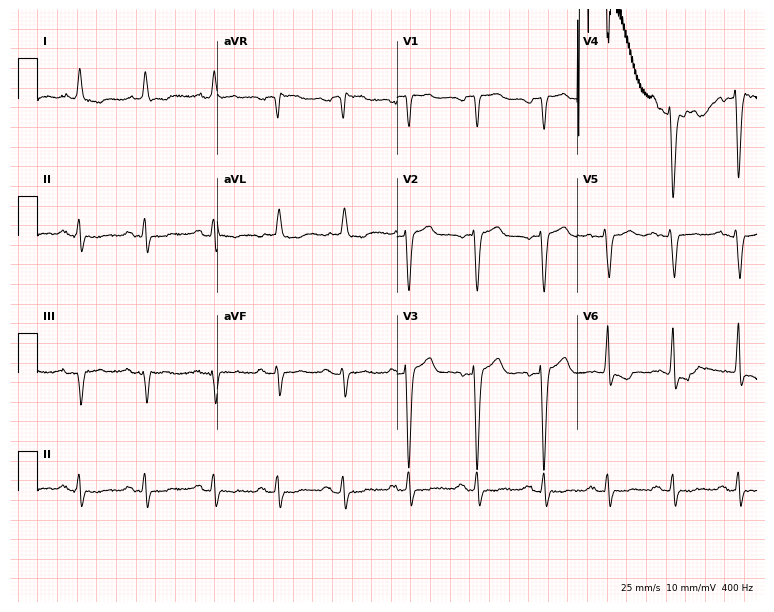
ECG — a 67-year-old male. Screened for six findings — first-degree AV block, right bundle branch block (RBBB), left bundle branch block (LBBB), sinus bradycardia, atrial fibrillation (AF), sinus tachycardia — none is recorded.